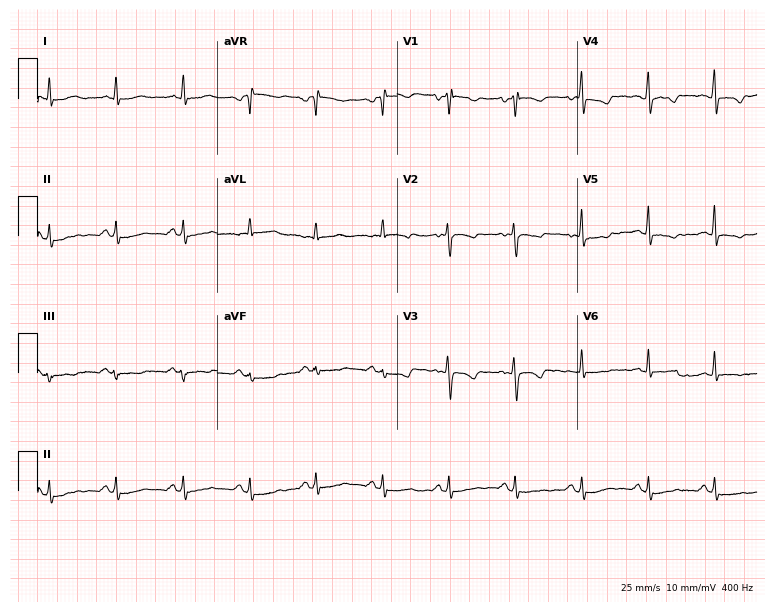
Standard 12-lead ECG recorded from a 58-year-old female patient (7.3-second recording at 400 Hz). None of these six findings is recorded: first-degree AV block, right bundle branch block, left bundle branch block, sinus bradycardia, atrial fibrillation, sinus tachycardia. Other findings, if any, are not listed.